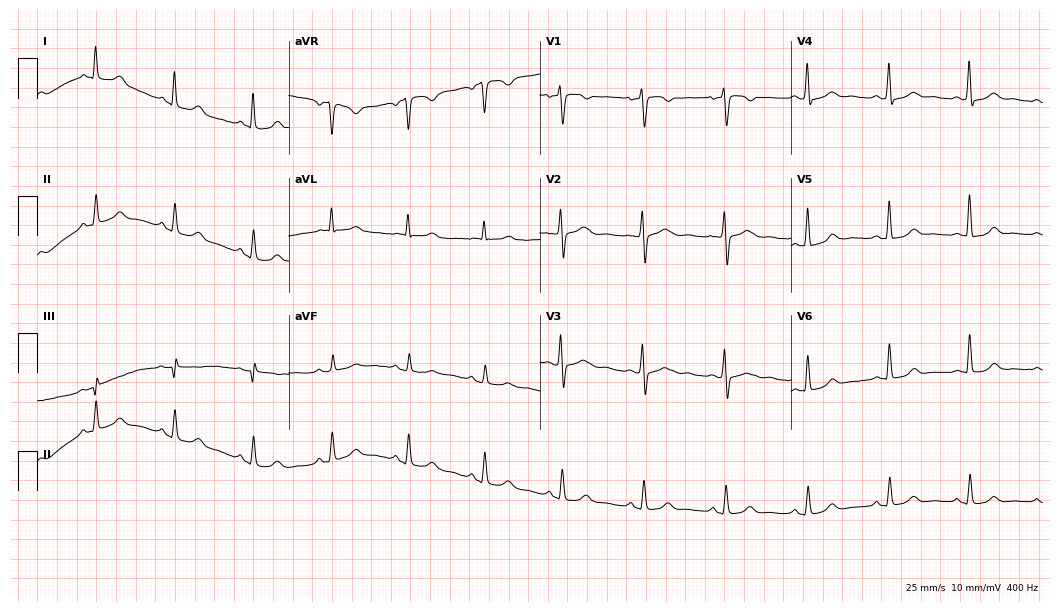
ECG (10.2-second recording at 400 Hz) — a female, 44 years old. Labelled as a normal ECG.